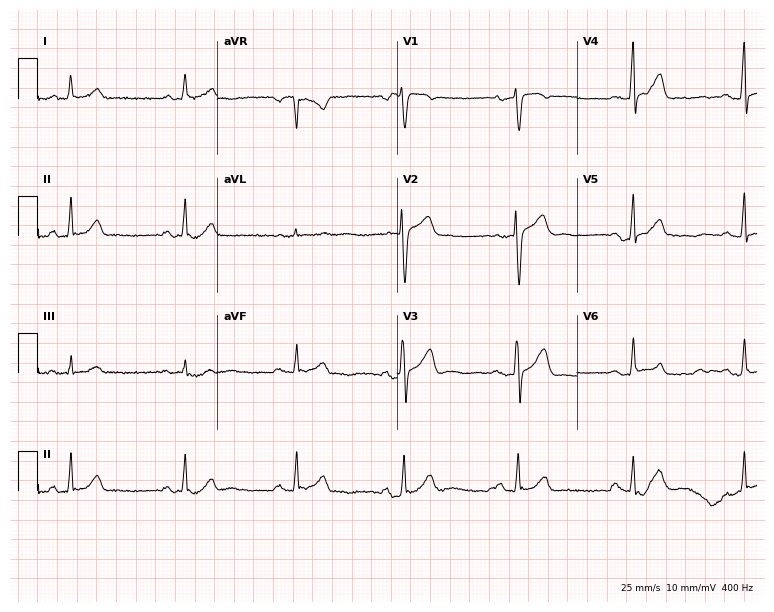
12-lead ECG from a woman, 41 years old. Labelled as a normal ECG.